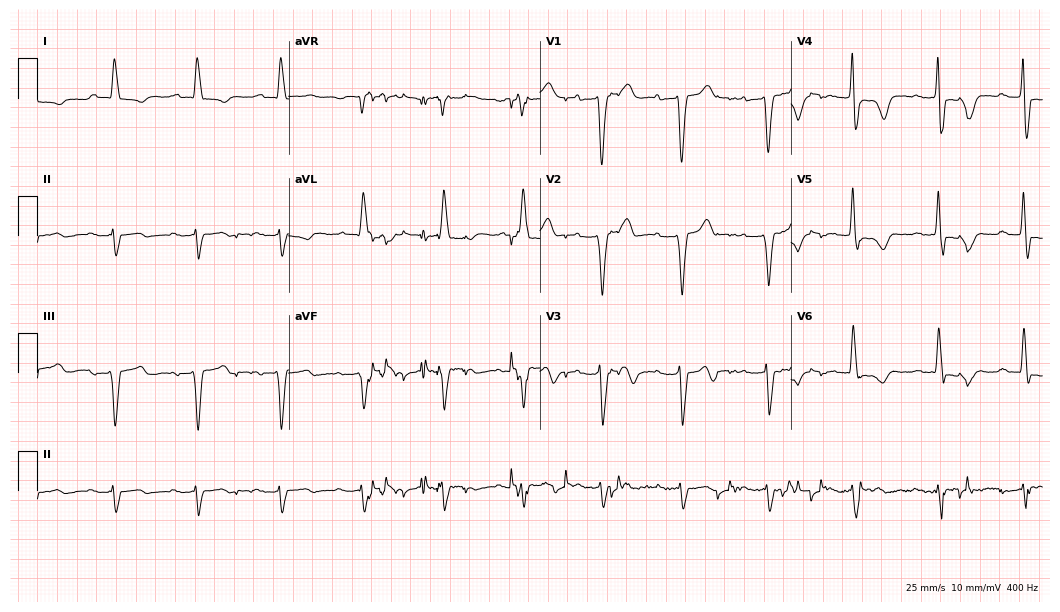
Standard 12-lead ECG recorded from a female, 77 years old (10.2-second recording at 400 Hz). None of these six findings is recorded: first-degree AV block, right bundle branch block, left bundle branch block, sinus bradycardia, atrial fibrillation, sinus tachycardia.